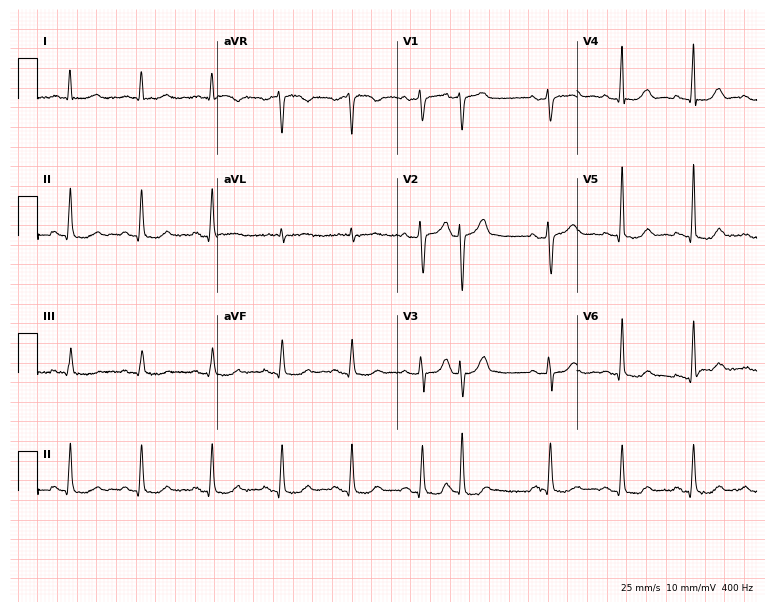
Resting 12-lead electrocardiogram (7.3-second recording at 400 Hz). Patient: a 75-year-old male. Read as a normal ECG.